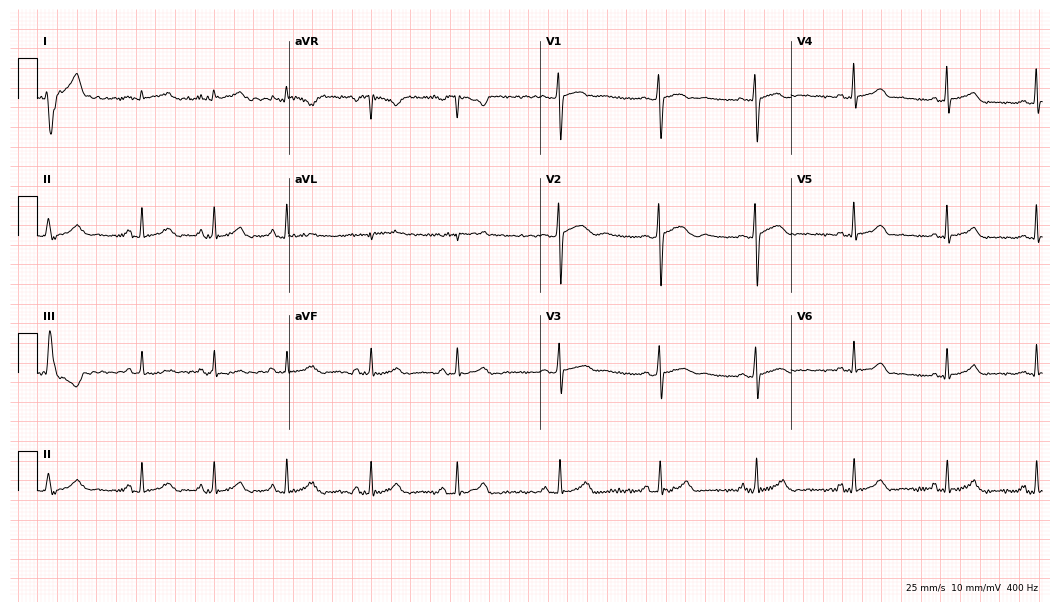
12-lead ECG (10.2-second recording at 400 Hz) from a 30-year-old woman. Screened for six findings — first-degree AV block, right bundle branch block (RBBB), left bundle branch block (LBBB), sinus bradycardia, atrial fibrillation (AF), sinus tachycardia — none is recorded.